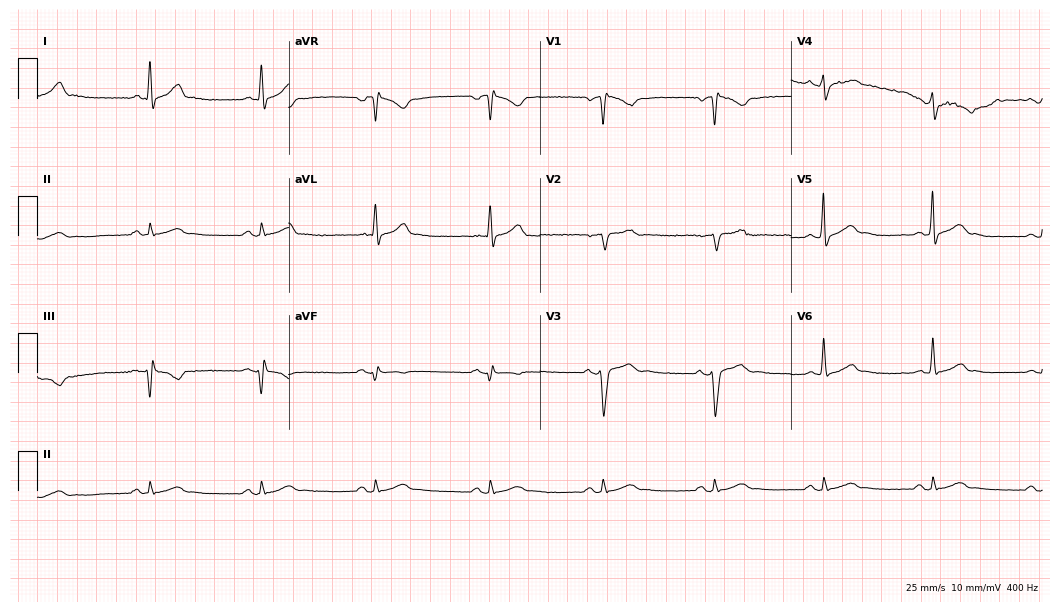
ECG (10.2-second recording at 400 Hz) — a man, 54 years old. Screened for six findings — first-degree AV block, right bundle branch block (RBBB), left bundle branch block (LBBB), sinus bradycardia, atrial fibrillation (AF), sinus tachycardia — none is recorded. Only these six findings were labelled.